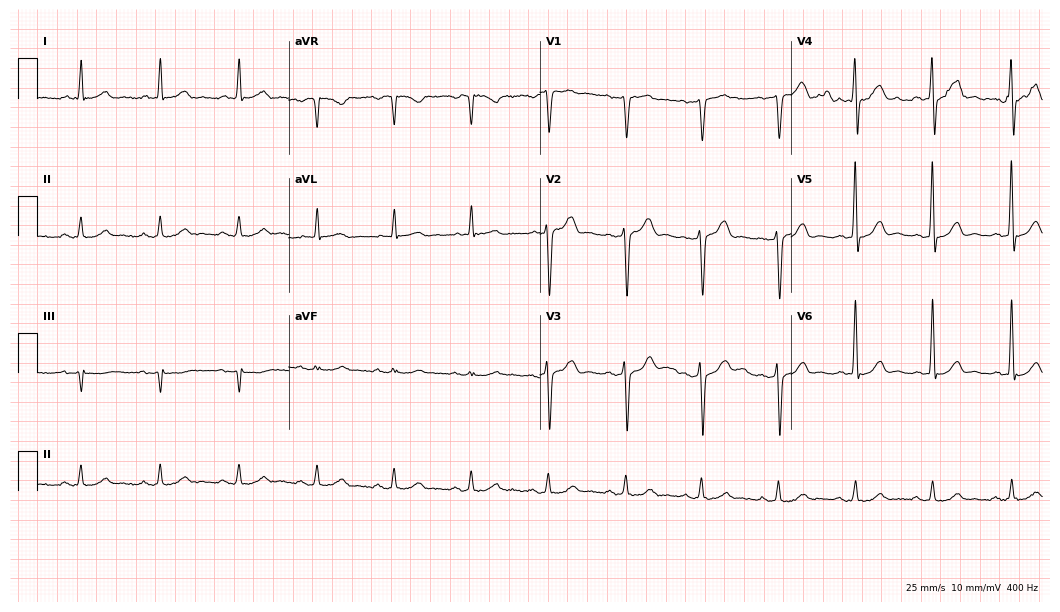
12-lead ECG from a male patient, 60 years old (10.2-second recording at 400 Hz). Recorded interpretation: within normal limits.